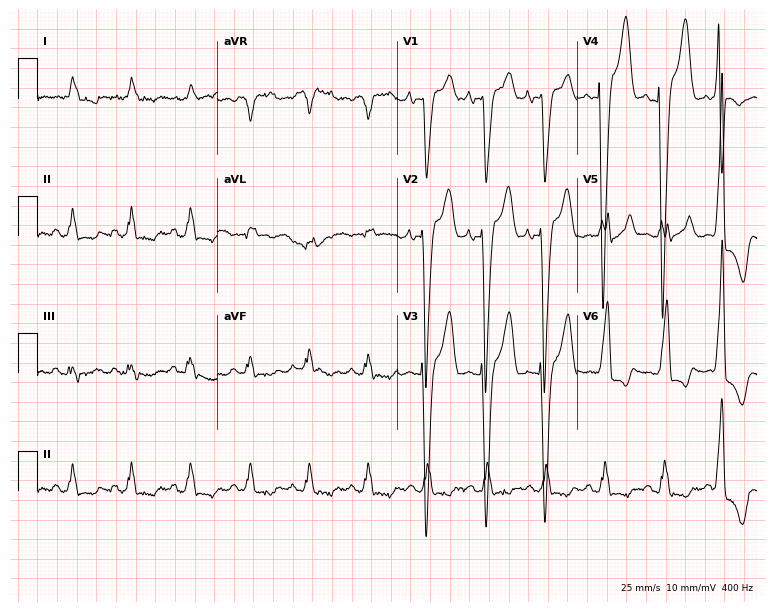
12-lead ECG from an 82-year-old woman (7.3-second recording at 400 Hz). Shows left bundle branch block (LBBB).